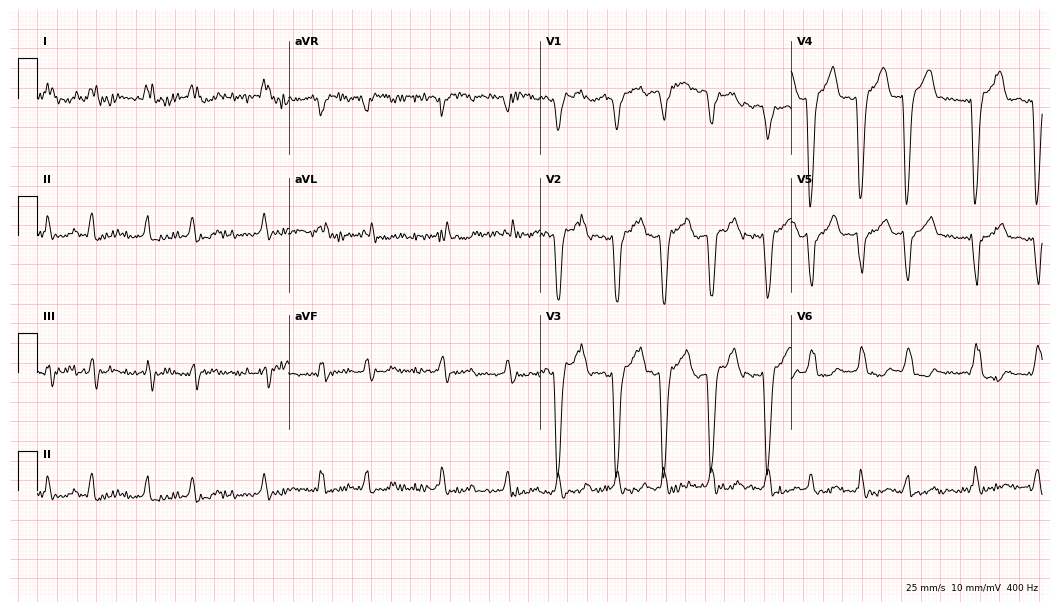
12-lead ECG from a woman, 63 years old (10.2-second recording at 400 Hz). Shows left bundle branch block, atrial fibrillation.